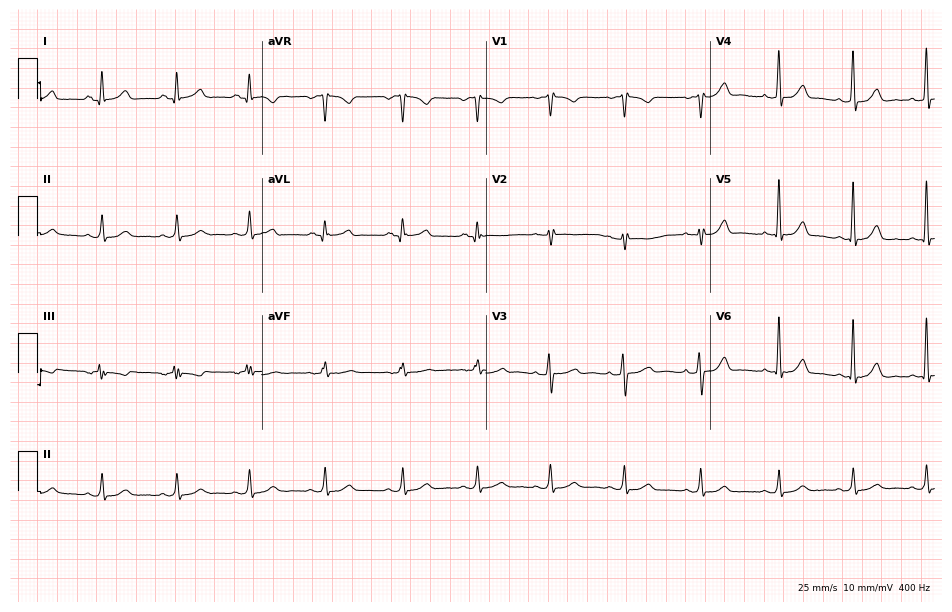
Electrocardiogram (9.1-second recording at 400 Hz), a 39-year-old female. Overall reading on record: normal ECG.